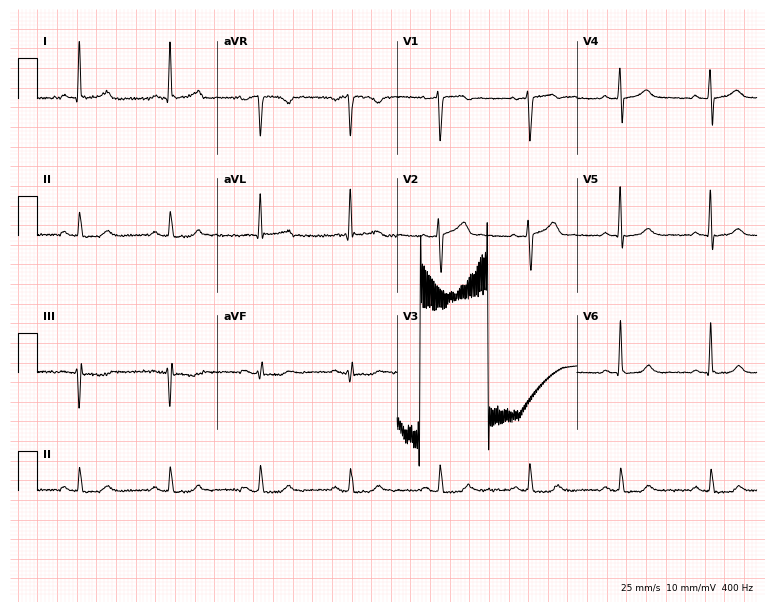
Resting 12-lead electrocardiogram. Patient: a 66-year-old male. None of these six findings is recorded: first-degree AV block, right bundle branch block, left bundle branch block, sinus bradycardia, atrial fibrillation, sinus tachycardia. Findings outside these six are not listed.